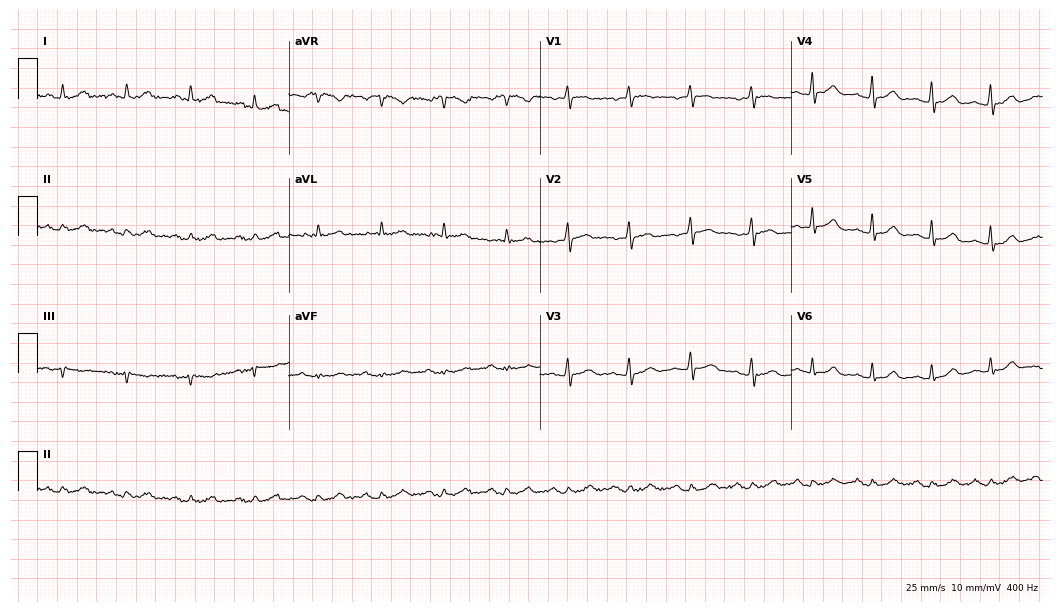
12-lead ECG (10.2-second recording at 400 Hz) from a woman, 66 years old. Labelled as a normal ECG.